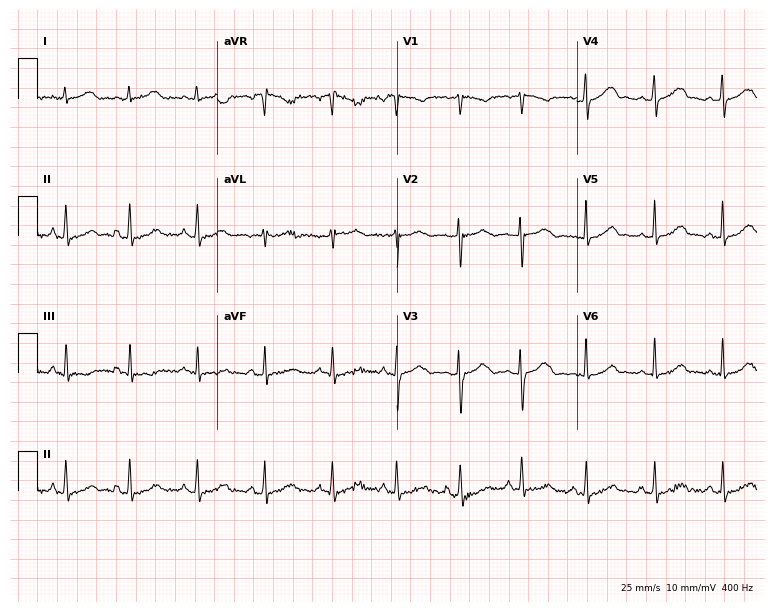
Resting 12-lead electrocardiogram (7.3-second recording at 400 Hz). Patient: a 28-year-old female. Read as a normal ECG.